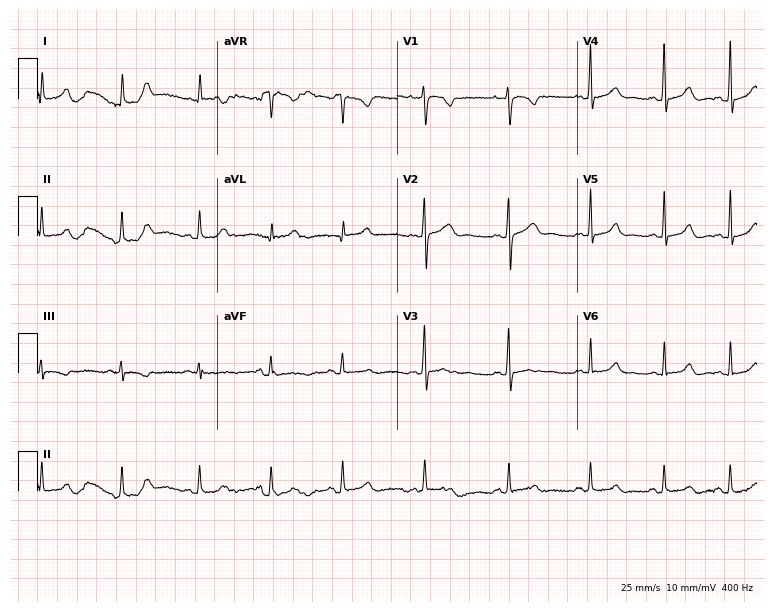
Electrocardiogram (7.3-second recording at 400 Hz), a 21-year-old female patient. Of the six screened findings (first-degree AV block, right bundle branch block (RBBB), left bundle branch block (LBBB), sinus bradycardia, atrial fibrillation (AF), sinus tachycardia), none is recorded. Findings outside these six are not listed.